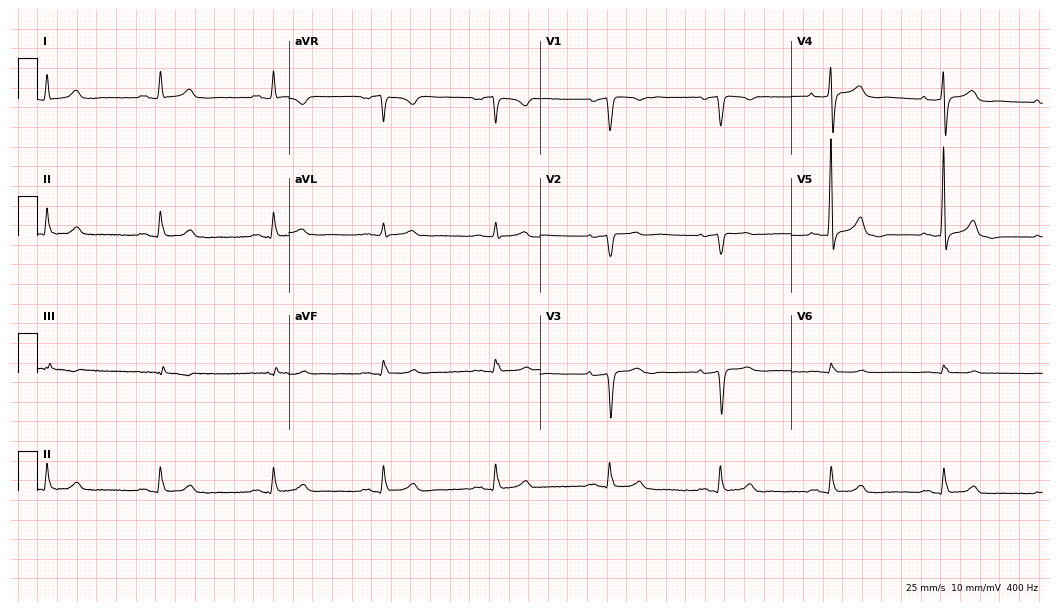
Resting 12-lead electrocardiogram. Patient: a 68-year-old male. None of these six findings is recorded: first-degree AV block, right bundle branch block, left bundle branch block, sinus bradycardia, atrial fibrillation, sinus tachycardia. Findings outside these six are not listed.